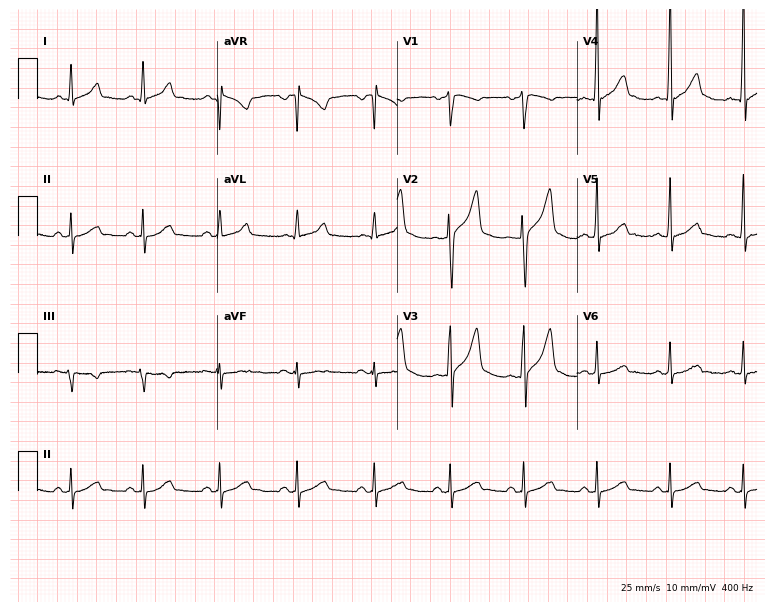
12-lead ECG from a male, 34 years old. No first-degree AV block, right bundle branch block, left bundle branch block, sinus bradycardia, atrial fibrillation or sinus tachycardia recorded for this tracing. Findings outside these six are not listed.